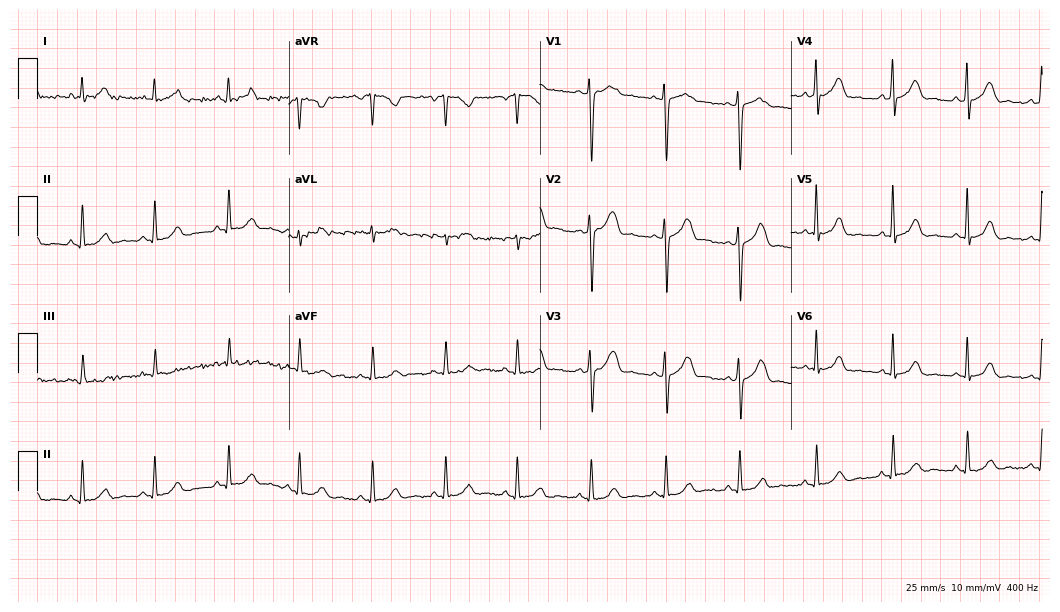
12-lead ECG (10.2-second recording at 400 Hz) from a 39-year-old female patient. Screened for six findings — first-degree AV block, right bundle branch block, left bundle branch block, sinus bradycardia, atrial fibrillation, sinus tachycardia — none is recorded. Findings outside these six are not listed.